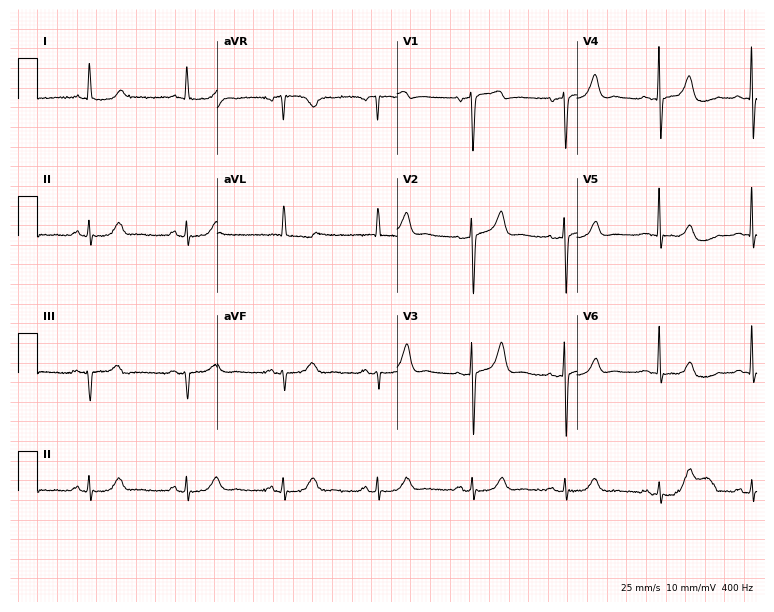
ECG — a woman, 85 years old. Screened for six findings — first-degree AV block, right bundle branch block, left bundle branch block, sinus bradycardia, atrial fibrillation, sinus tachycardia — none is recorded. Other findings, if any, are not listed.